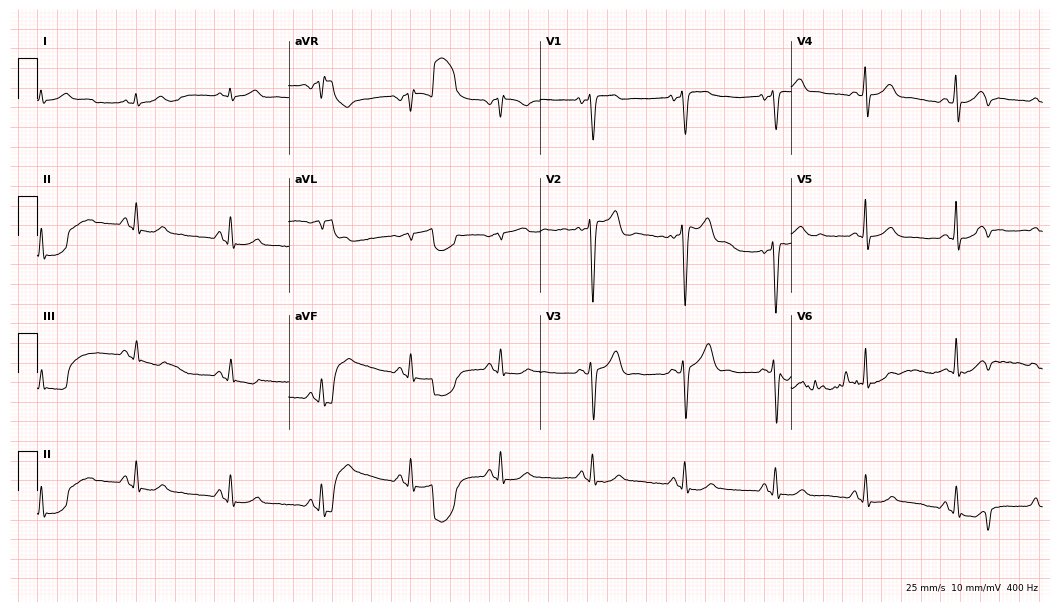
12-lead ECG (10.2-second recording at 400 Hz) from a male patient, 42 years old. Screened for six findings — first-degree AV block, right bundle branch block, left bundle branch block, sinus bradycardia, atrial fibrillation, sinus tachycardia — none is recorded. Only these six findings were labelled.